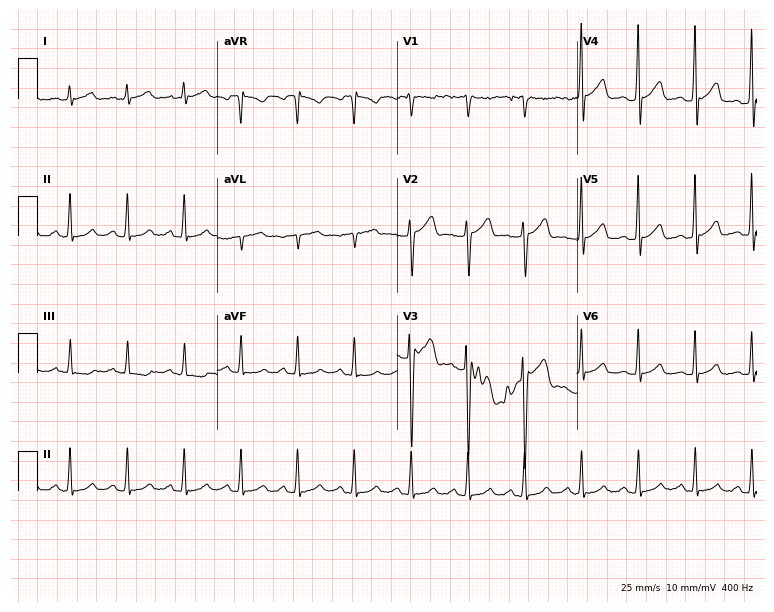
ECG — a male, 38 years old. Findings include sinus tachycardia (a sinus rate of 100 beats per minute or more).